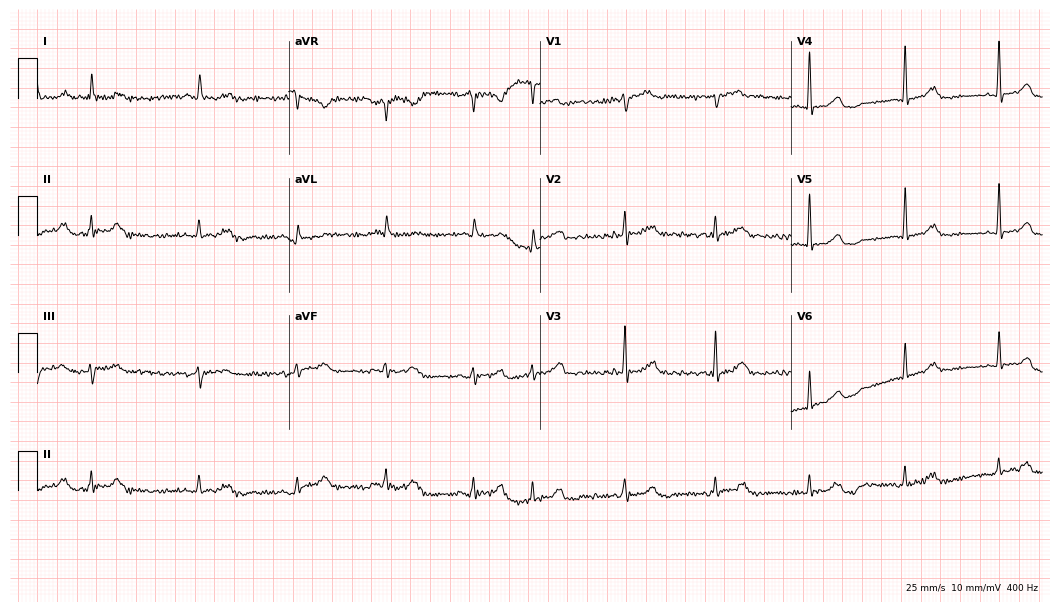
ECG — a 76-year-old female patient. Screened for six findings — first-degree AV block, right bundle branch block, left bundle branch block, sinus bradycardia, atrial fibrillation, sinus tachycardia — none is recorded. Other findings, if any, are not listed.